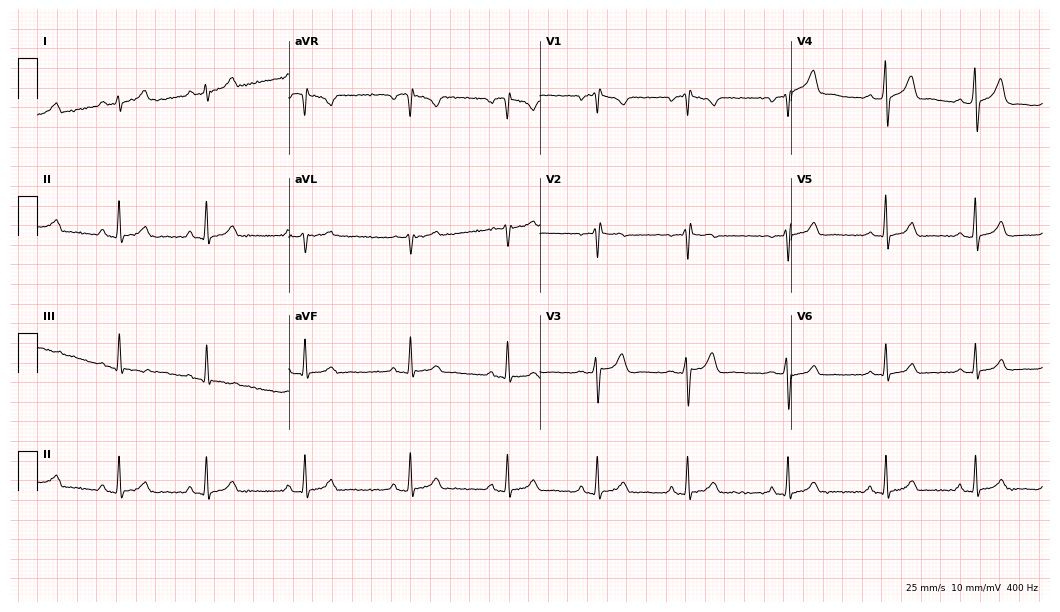
12-lead ECG from a male patient, 31 years old. Screened for six findings — first-degree AV block, right bundle branch block, left bundle branch block, sinus bradycardia, atrial fibrillation, sinus tachycardia — none is recorded. Findings outside these six are not listed.